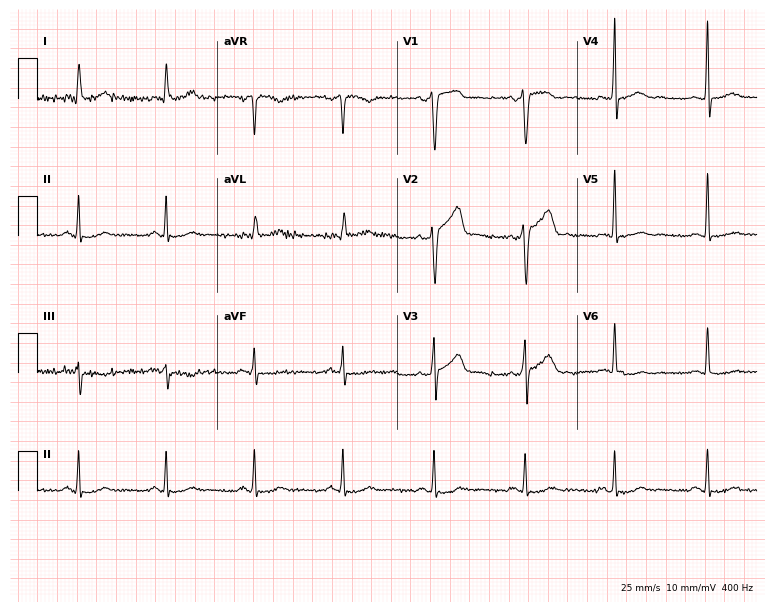
ECG (7.3-second recording at 400 Hz) — a male, 53 years old. Screened for six findings — first-degree AV block, right bundle branch block, left bundle branch block, sinus bradycardia, atrial fibrillation, sinus tachycardia — none is recorded.